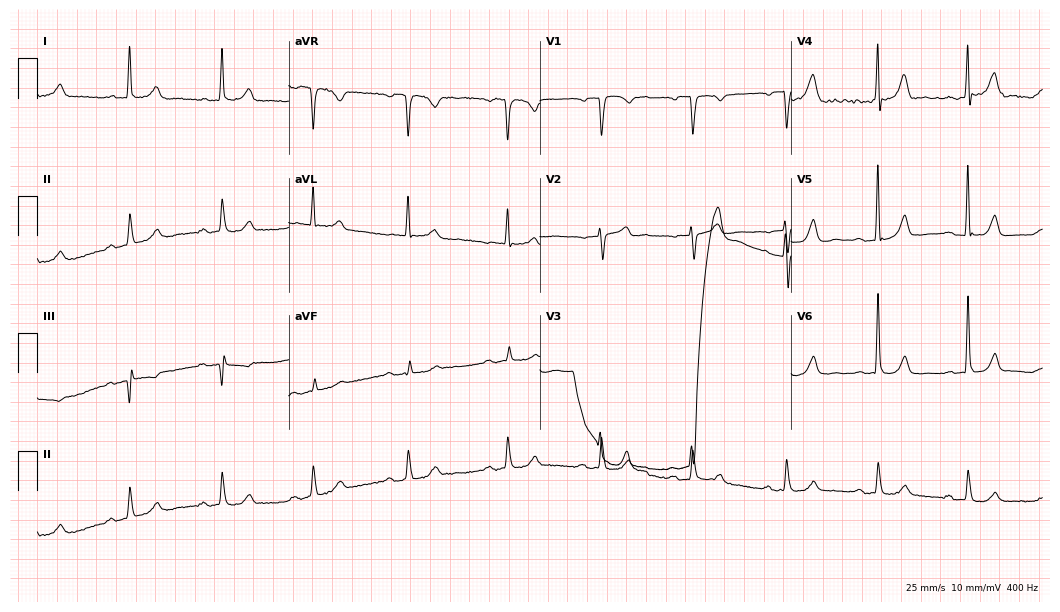
Standard 12-lead ECG recorded from a 77-year-old man. Read as a normal ECG.